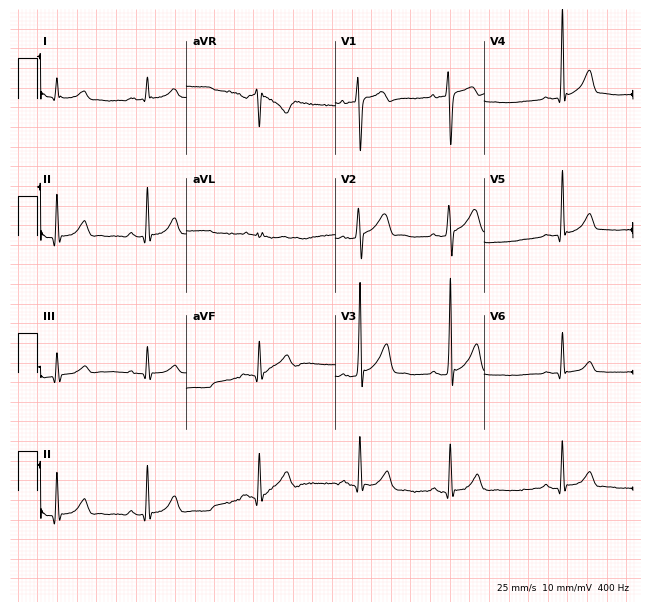
12-lead ECG from a 25-year-old male (6.1-second recording at 400 Hz). No first-degree AV block, right bundle branch block, left bundle branch block, sinus bradycardia, atrial fibrillation or sinus tachycardia recorded for this tracing. Findings outside these six are not listed.